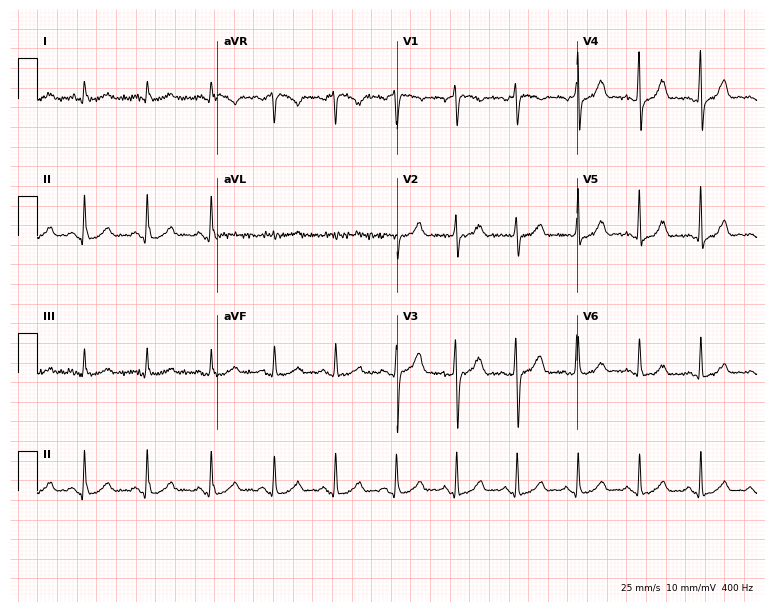
ECG — a 63-year-old male. Labelled as a normal ECG.